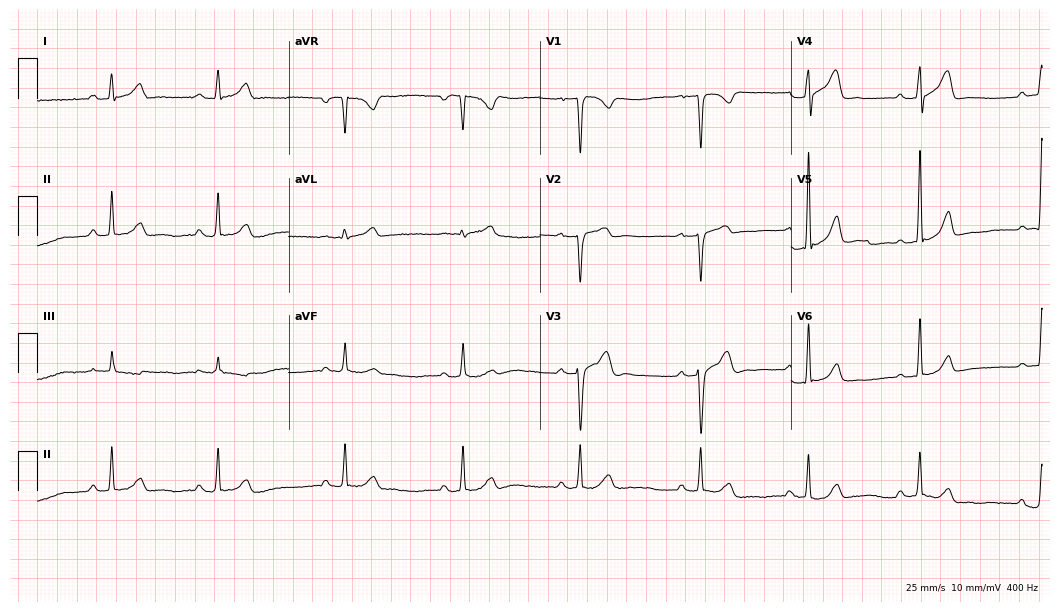
Standard 12-lead ECG recorded from a man, 37 years old (10.2-second recording at 400 Hz). None of these six findings is recorded: first-degree AV block, right bundle branch block, left bundle branch block, sinus bradycardia, atrial fibrillation, sinus tachycardia. Only these six findings were labelled.